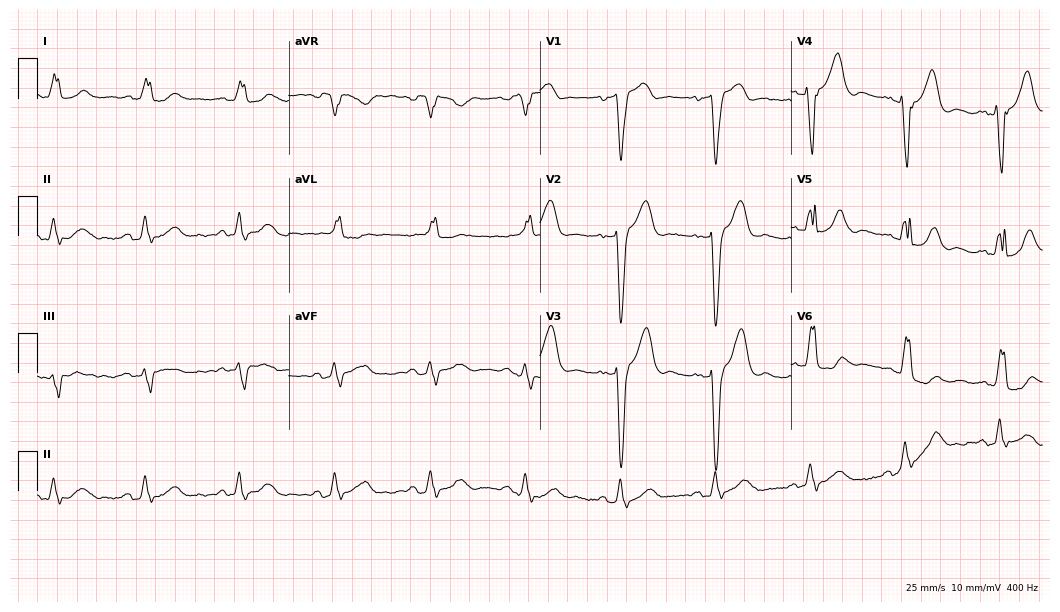
Resting 12-lead electrocardiogram (10.2-second recording at 400 Hz). Patient: an 83-year-old female. The tracing shows left bundle branch block.